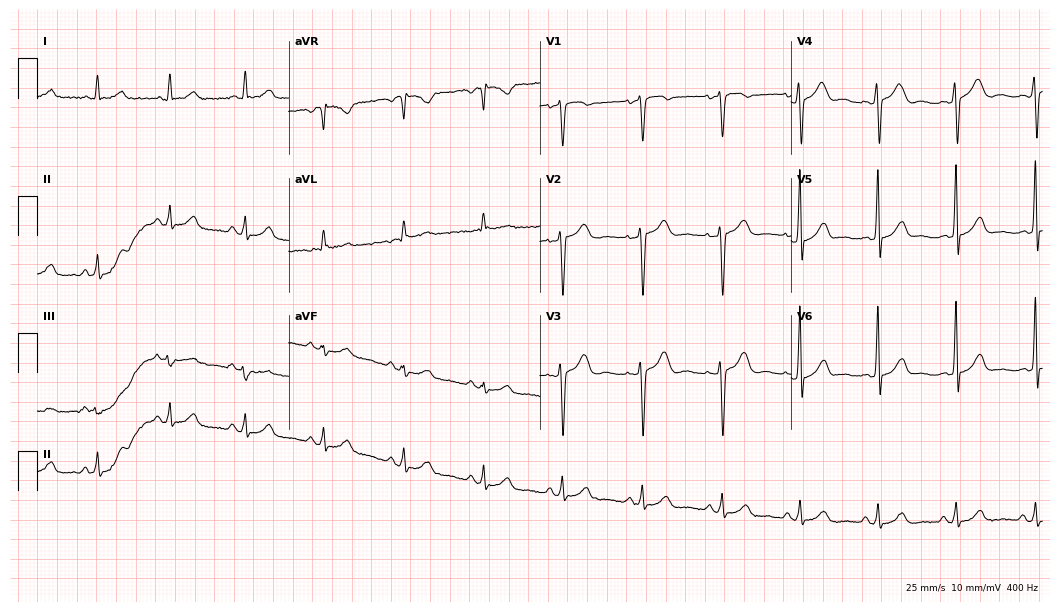
Standard 12-lead ECG recorded from a 60-year-old male. None of these six findings is recorded: first-degree AV block, right bundle branch block, left bundle branch block, sinus bradycardia, atrial fibrillation, sinus tachycardia.